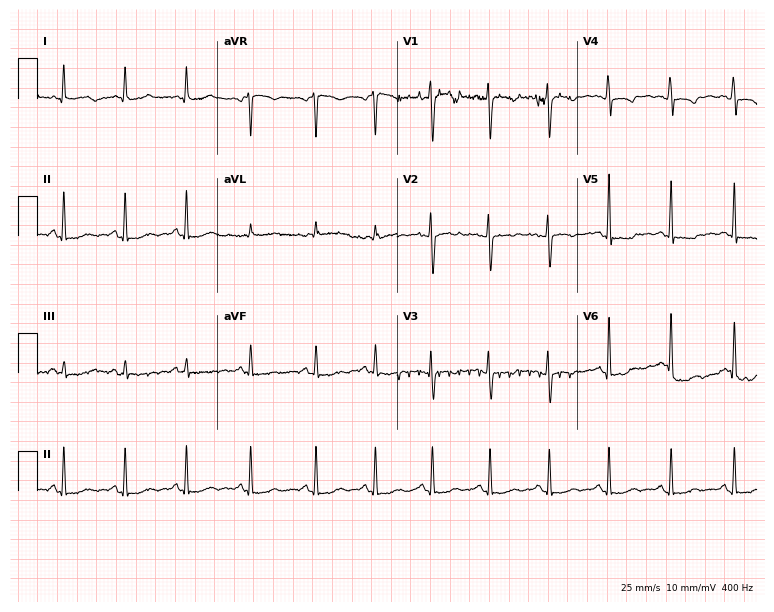
Electrocardiogram (7.3-second recording at 400 Hz), a 44-year-old female. Overall reading on record: normal ECG.